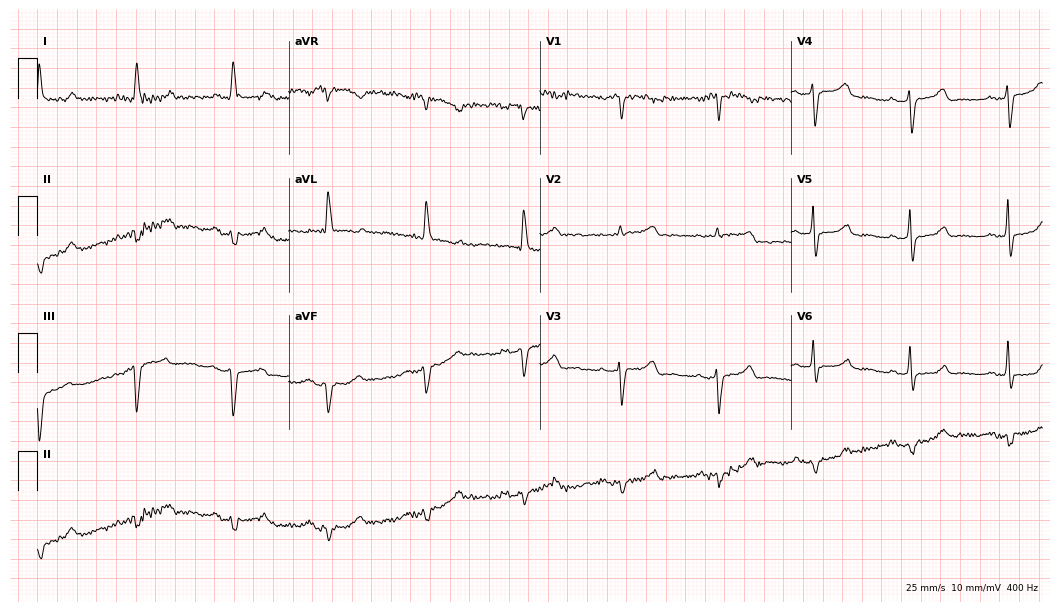
Standard 12-lead ECG recorded from a 78-year-old man. None of these six findings is recorded: first-degree AV block, right bundle branch block (RBBB), left bundle branch block (LBBB), sinus bradycardia, atrial fibrillation (AF), sinus tachycardia.